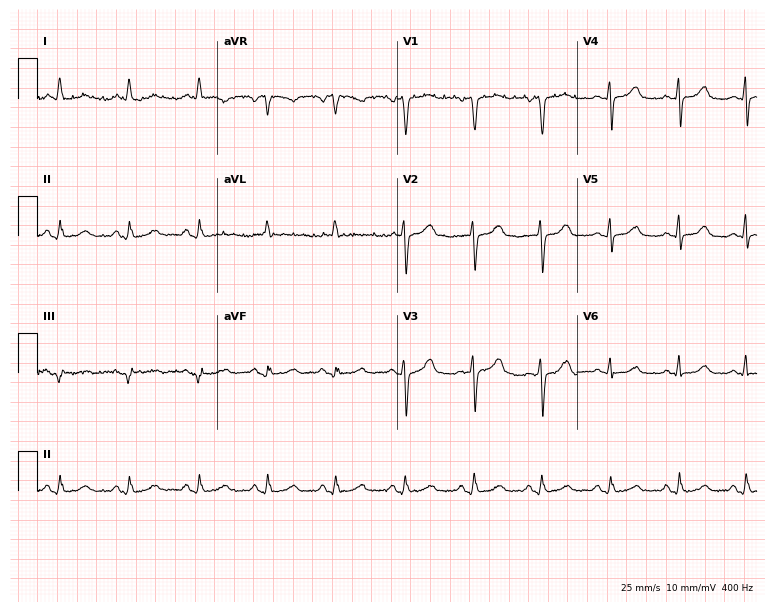
Resting 12-lead electrocardiogram (7.3-second recording at 400 Hz). Patient: a 77-year-old female. Read as a normal ECG.